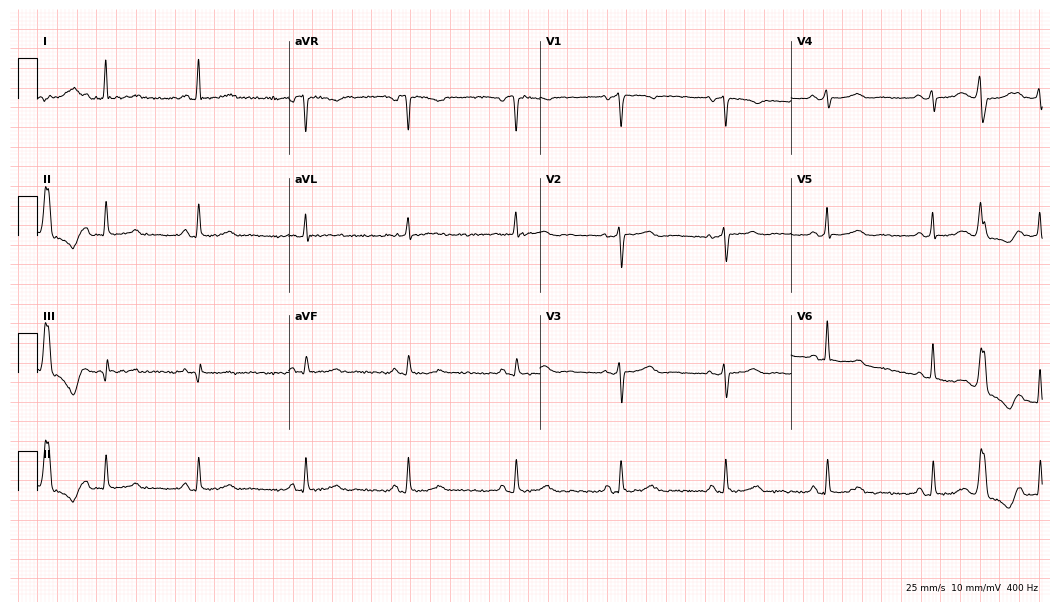
ECG — a 59-year-old female patient. Screened for six findings — first-degree AV block, right bundle branch block, left bundle branch block, sinus bradycardia, atrial fibrillation, sinus tachycardia — none is recorded. Other findings, if any, are not listed.